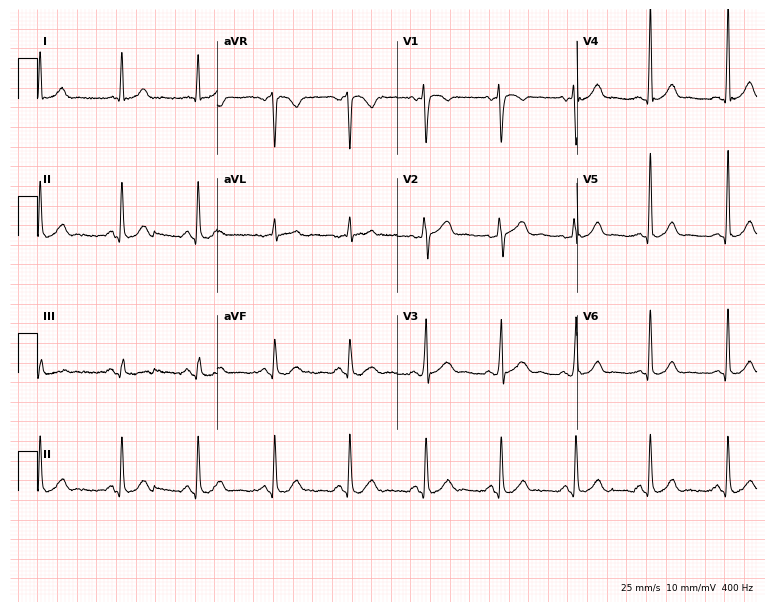
ECG — a 36-year-old male. Labelled as a normal ECG.